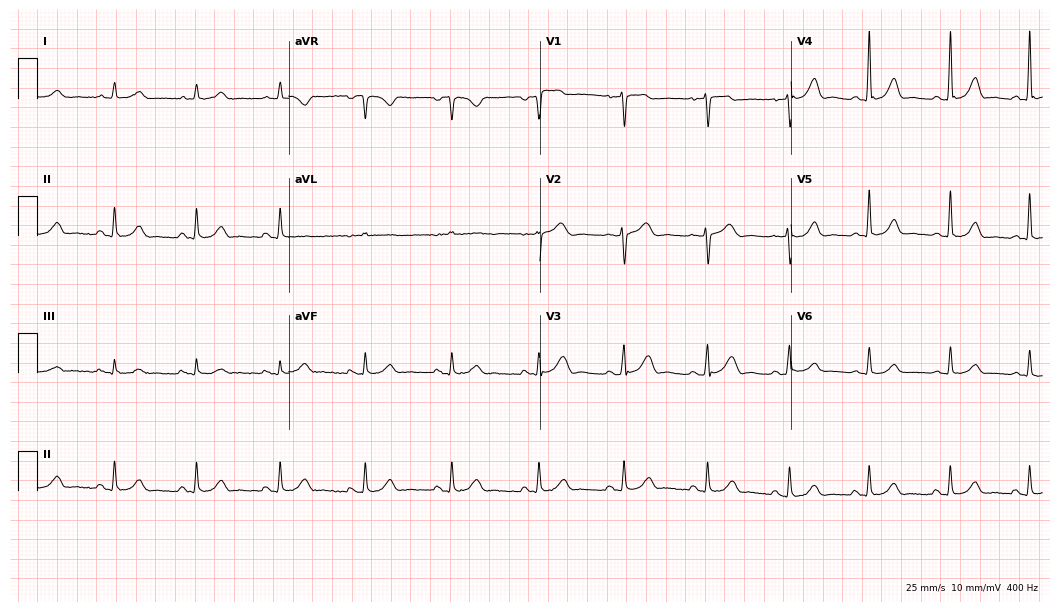
12-lead ECG from a 69-year-old female patient. No first-degree AV block, right bundle branch block, left bundle branch block, sinus bradycardia, atrial fibrillation or sinus tachycardia recorded for this tracing. Findings outside these six are not listed.